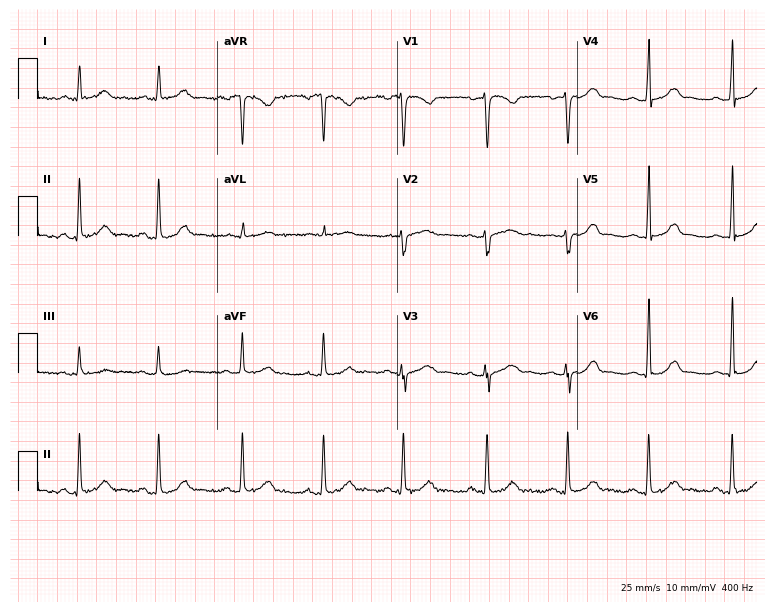
12-lead ECG from a female patient, 39 years old (7.3-second recording at 400 Hz). Recorded interpretation: within normal limits.